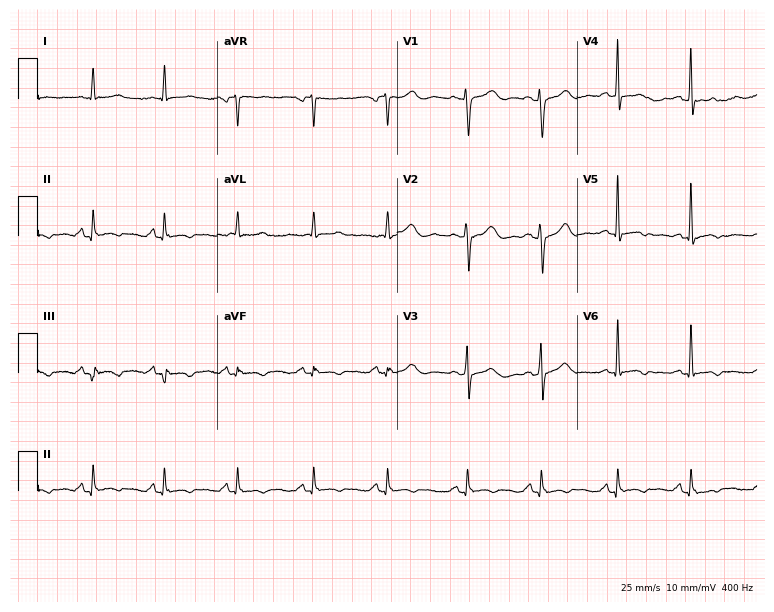
Resting 12-lead electrocardiogram (7.3-second recording at 400 Hz). Patient: a 61-year-old female. None of these six findings is recorded: first-degree AV block, right bundle branch block (RBBB), left bundle branch block (LBBB), sinus bradycardia, atrial fibrillation (AF), sinus tachycardia.